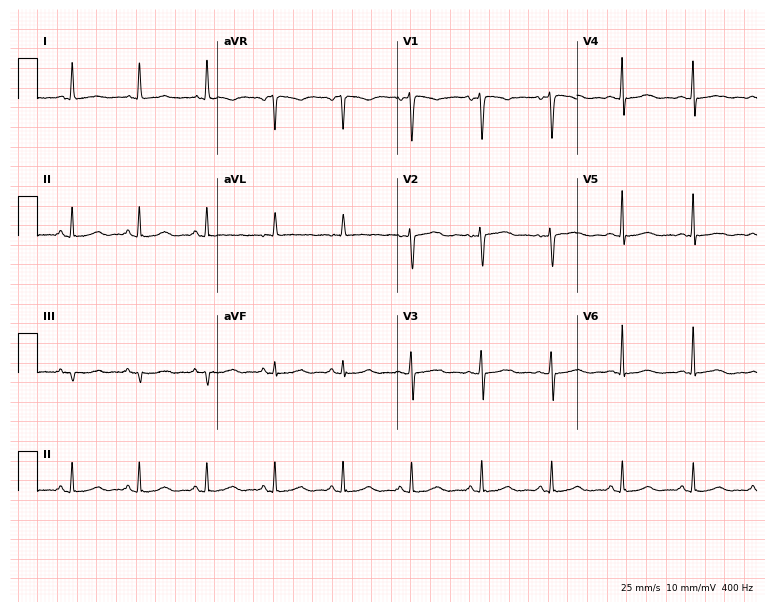
12-lead ECG from a 51-year-old woman. Recorded interpretation: within normal limits.